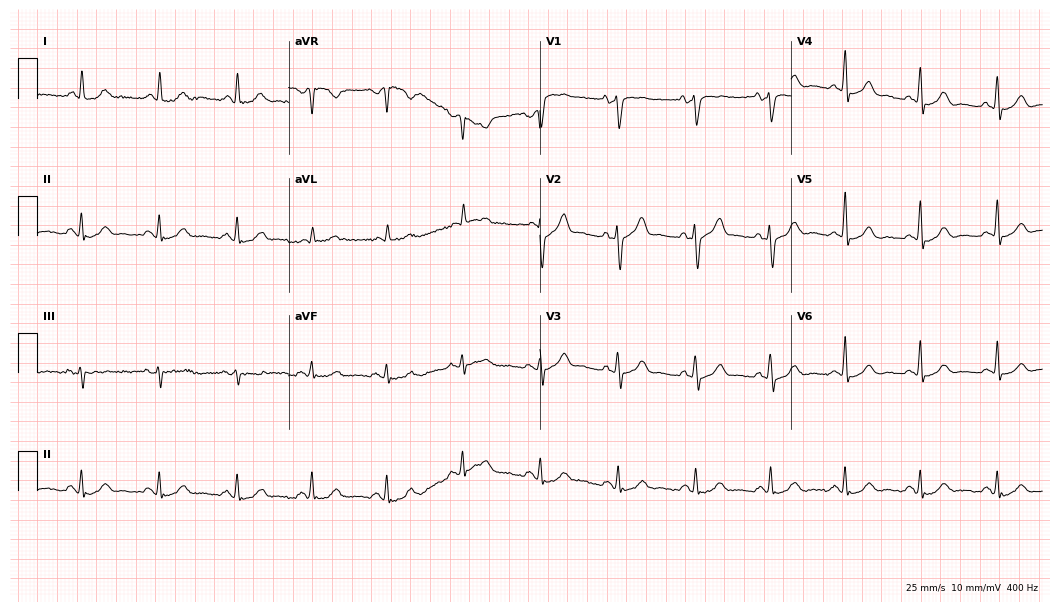
Electrocardiogram, a 59-year-old man. Overall reading on record: normal ECG.